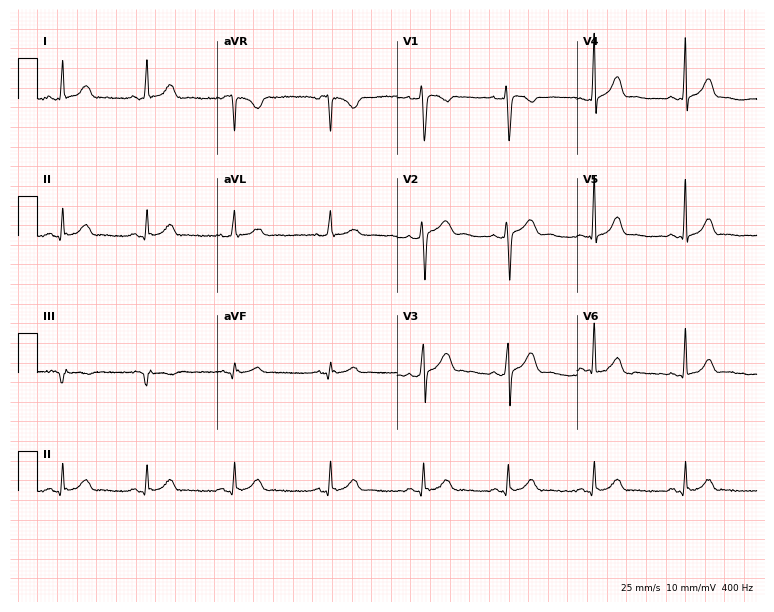
Electrocardiogram, a woman, 31 years old. Overall reading on record: normal ECG.